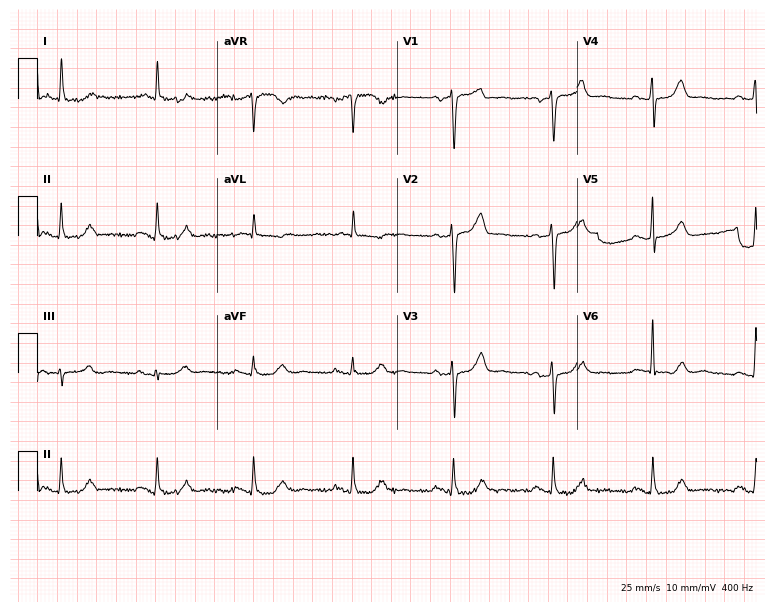
ECG — a 71-year-old male. Screened for six findings — first-degree AV block, right bundle branch block, left bundle branch block, sinus bradycardia, atrial fibrillation, sinus tachycardia — none is recorded.